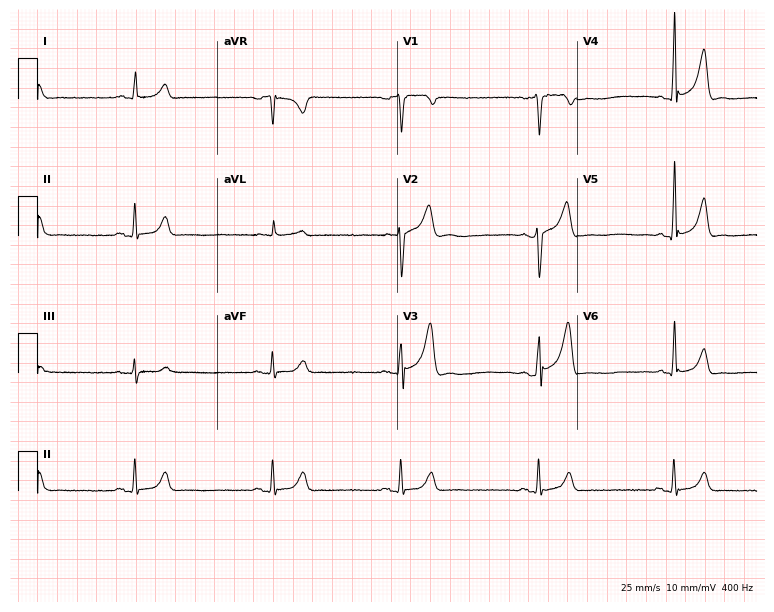
Electrocardiogram (7.3-second recording at 400 Hz), a male, 30 years old. Of the six screened findings (first-degree AV block, right bundle branch block, left bundle branch block, sinus bradycardia, atrial fibrillation, sinus tachycardia), none is recorded. Only these six findings were labelled.